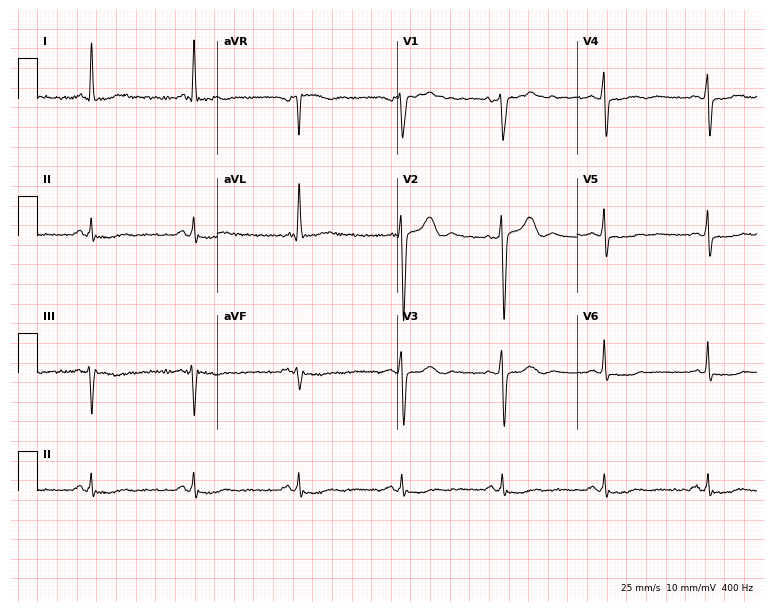
12-lead ECG from a 51-year-old male (7.3-second recording at 400 Hz). No first-degree AV block, right bundle branch block (RBBB), left bundle branch block (LBBB), sinus bradycardia, atrial fibrillation (AF) or sinus tachycardia recorded for this tracing.